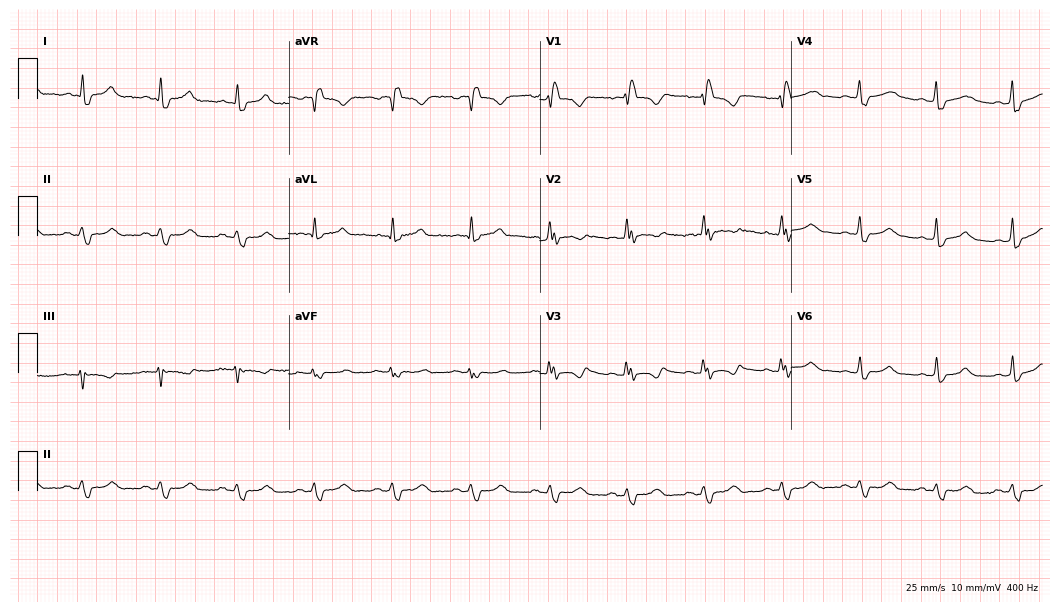
12-lead ECG (10.2-second recording at 400 Hz) from a female patient, 39 years old. Findings include right bundle branch block.